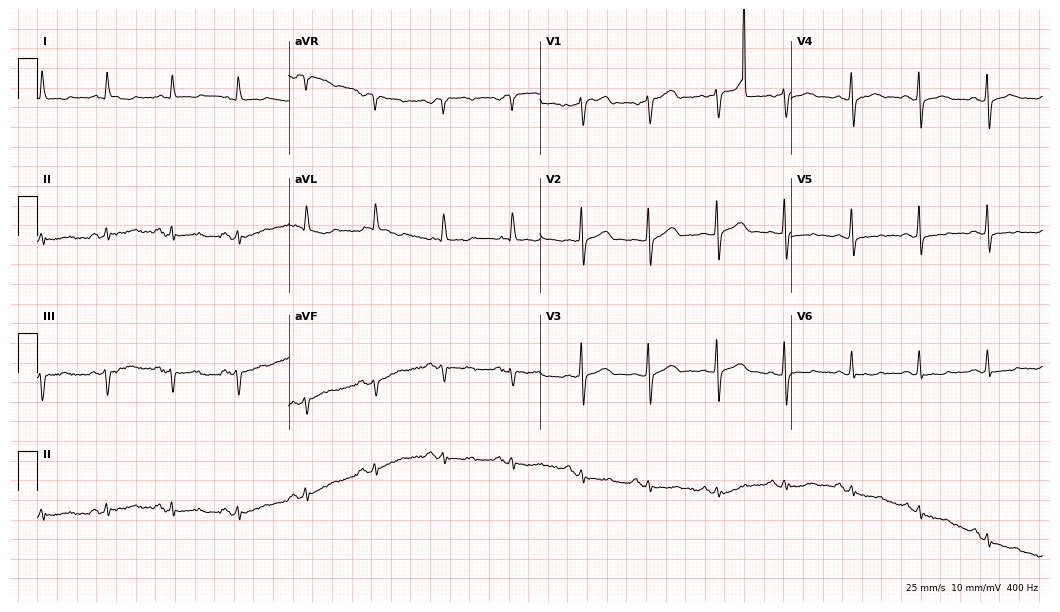
Standard 12-lead ECG recorded from a 71-year-old female patient. None of these six findings is recorded: first-degree AV block, right bundle branch block, left bundle branch block, sinus bradycardia, atrial fibrillation, sinus tachycardia. Only these six findings were labelled.